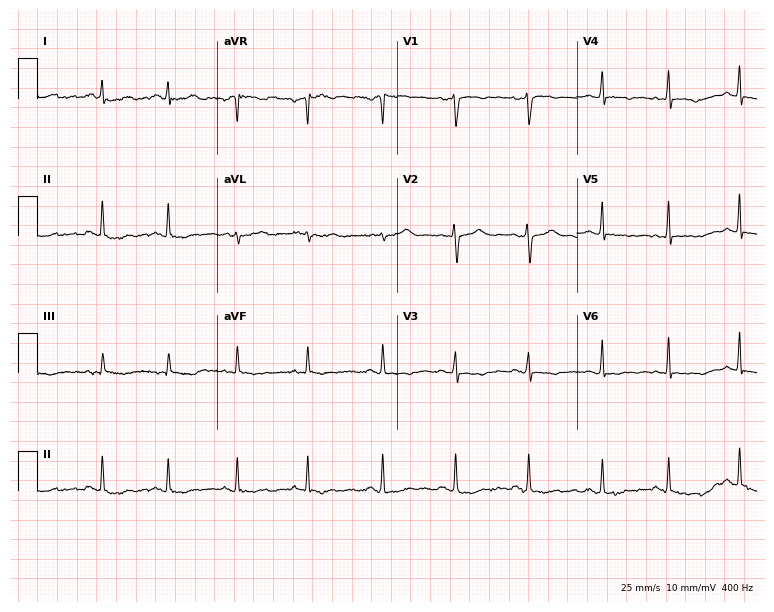
12-lead ECG from a 50-year-old female patient. No first-degree AV block, right bundle branch block (RBBB), left bundle branch block (LBBB), sinus bradycardia, atrial fibrillation (AF) or sinus tachycardia recorded for this tracing.